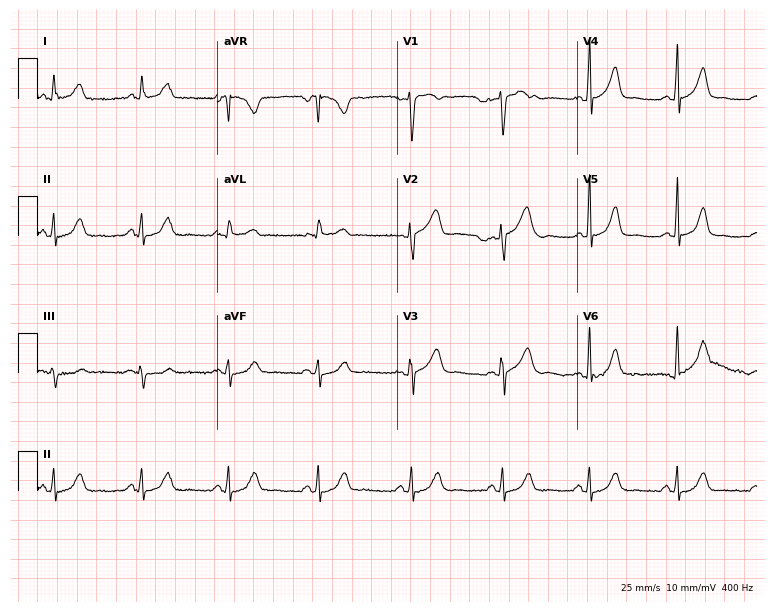
ECG — a 44-year-old woman. Labelled as a normal ECG.